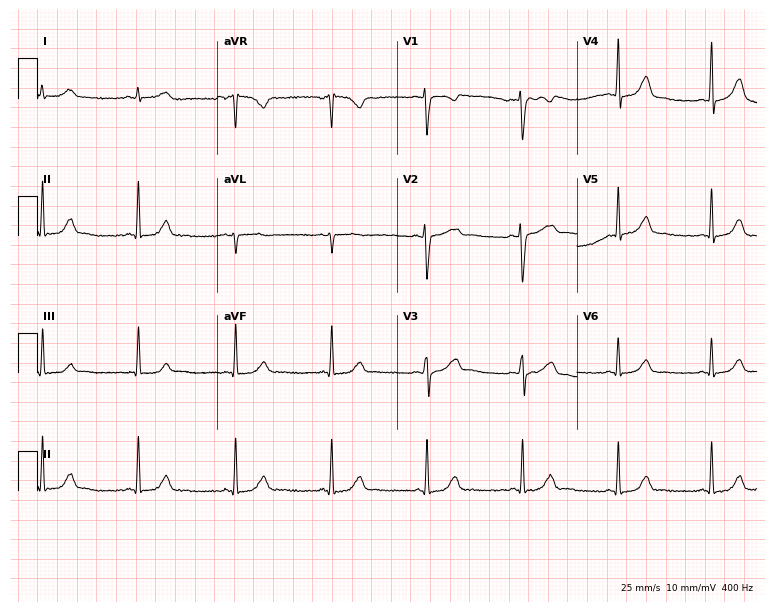
Electrocardiogram, a woman, 48 years old. Of the six screened findings (first-degree AV block, right bundle branch block (RBBB), left bundle branch block (LBBB), sinus bradycardia, atrial fibrillation (AF), sinus tachycardia), none is recorded.